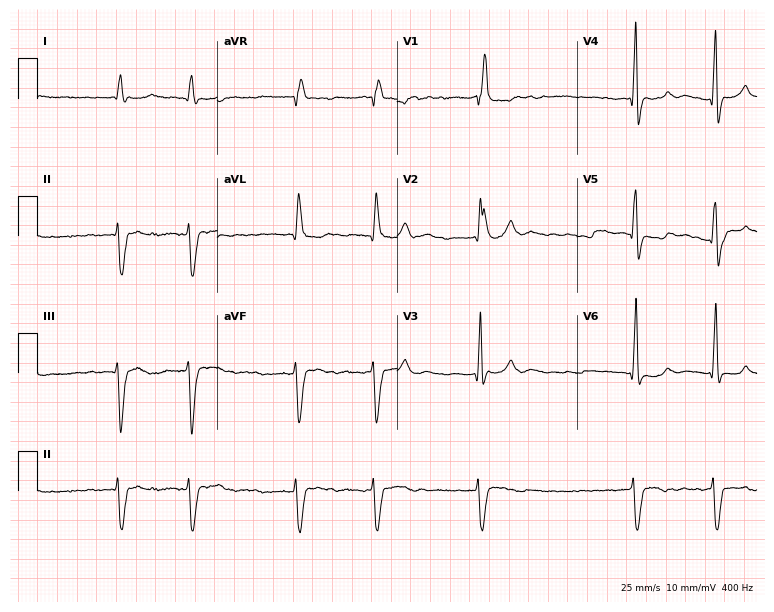
Resting 12-lead electrocardiogram (7.3-second recording at 400 Hz). Patient: a male, 82 years old. The tracing shows right bundle branch block, atrial fibrillation.